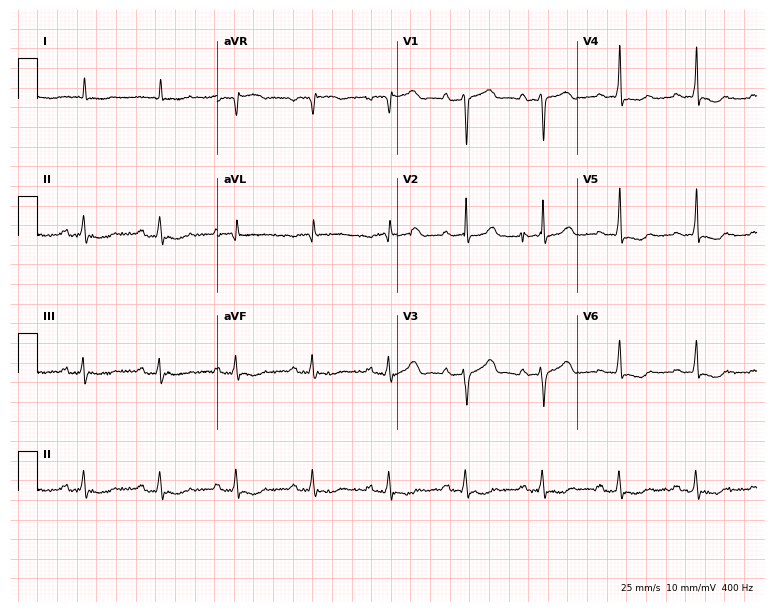
12-lead ECG from a male patient, 72 years old (7.3-second recording at 400 Hz). Shows first-degree AV block.